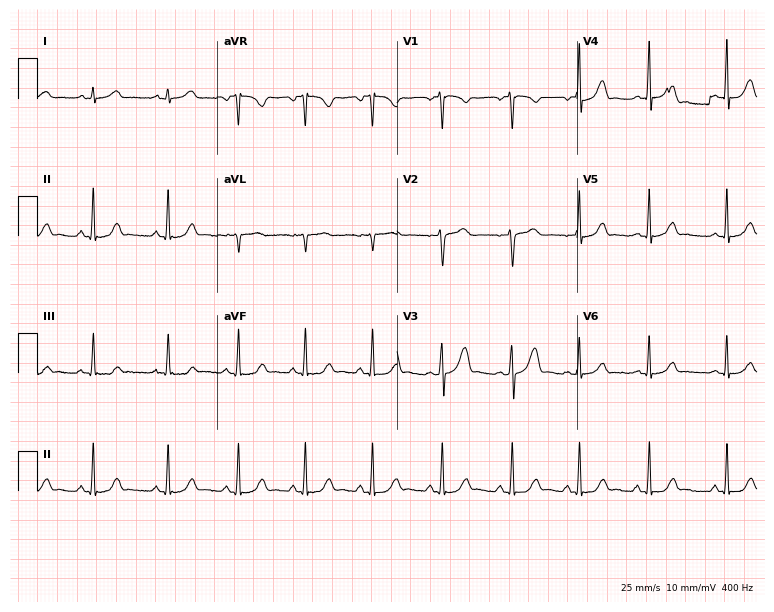
12-lead ECG from a 25-year-old female patient (7.3-second recording at 400 Hz). Recorded interpretation: within normal limits.